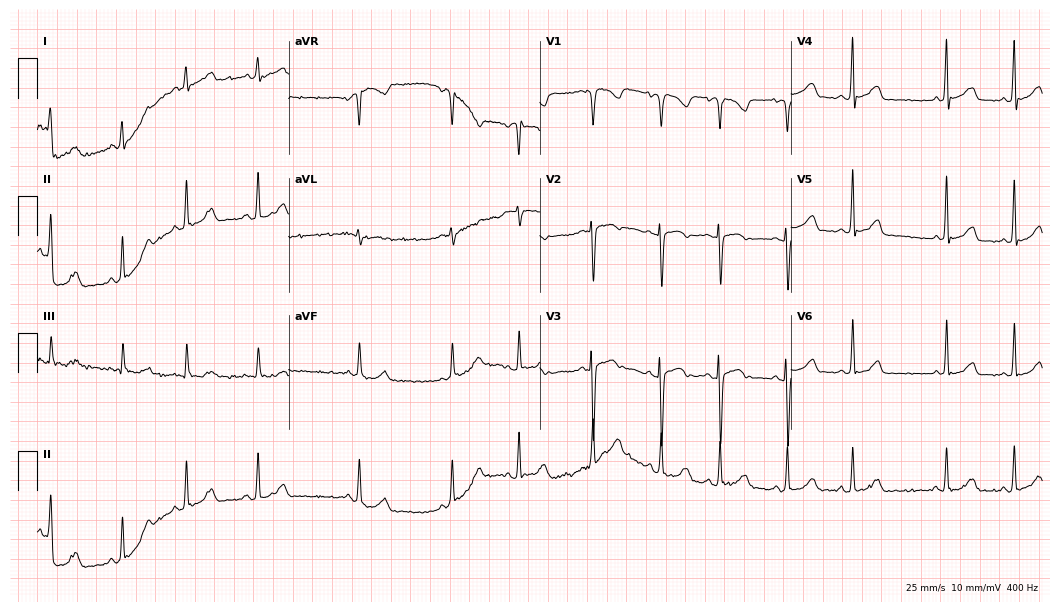
Standard 12-lead ECG recorded from a woman, 57 years old (10.2-second recording at 400 Hz). Read as a normal ECG.